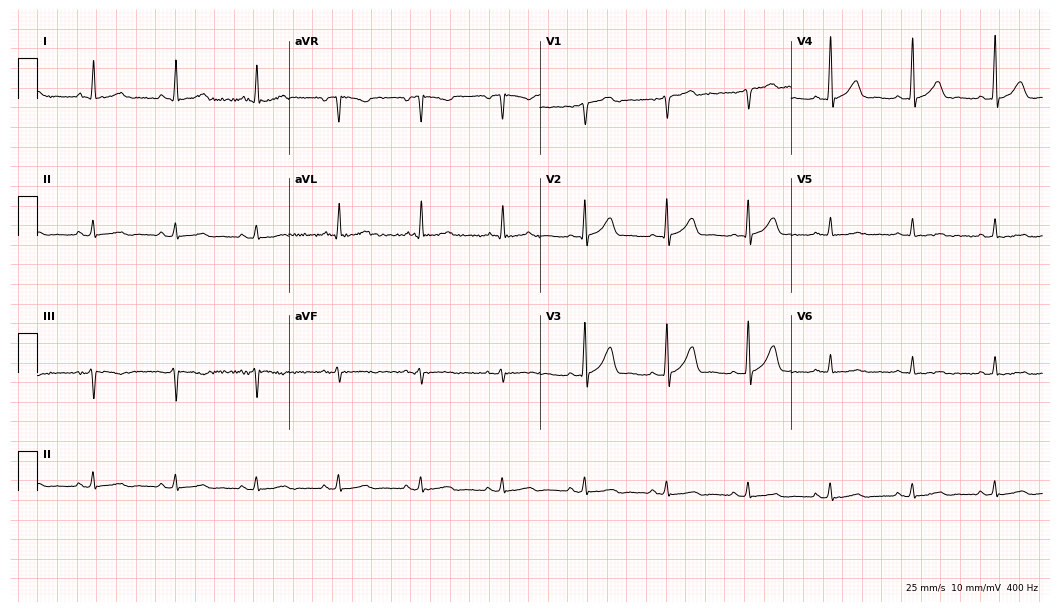
12-lead ECG from a 64-year-old man. No first-degree AV block, right bundle branch block, left bundle branch block, sinus bradycardia, atrial fibrillation or sinus tachycardia recorded for this tracing.